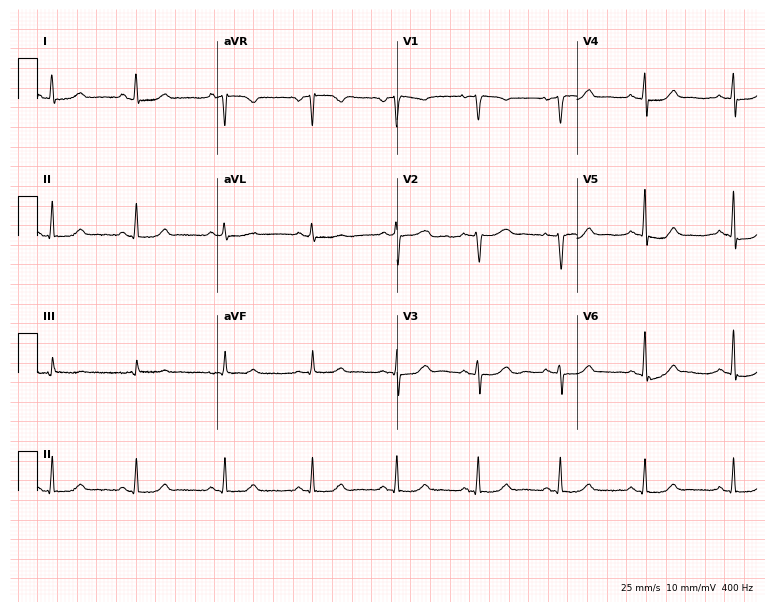
ECG — a 51-year-old female patient. Screened for six findings — first-degree AV block, right bundle branch block (RBBB), left bundle branch block (LBBB), sinus bradycardia, atrial fibrillation (AF), sinus tachycardia — none is recorded.